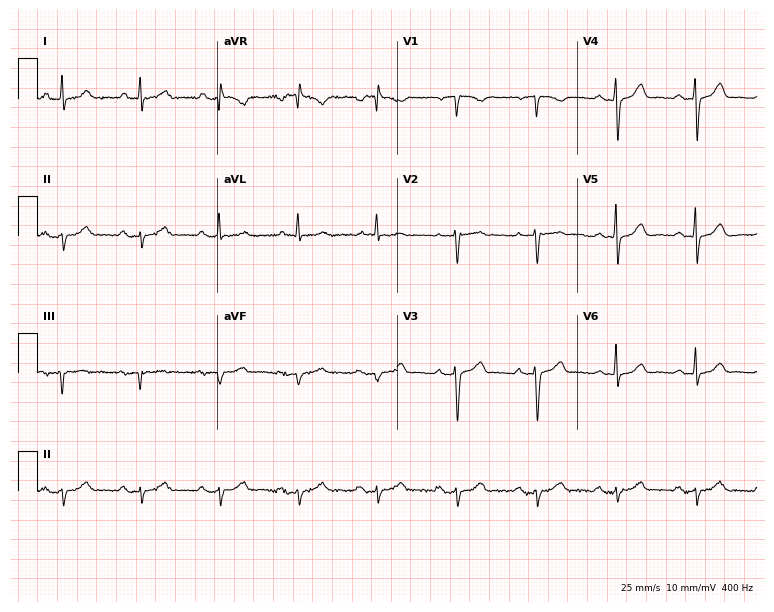
ECG (7.3-second recording at 400 Hz) — a 65-year-old female patient. Screened for six findings — first-degree AV block, right bundle branch block (RBBB), left bundle branch block (LBBB), sinus bradycardia, atrial fibrillation (AF), sinus tachycardia — none is recorded.